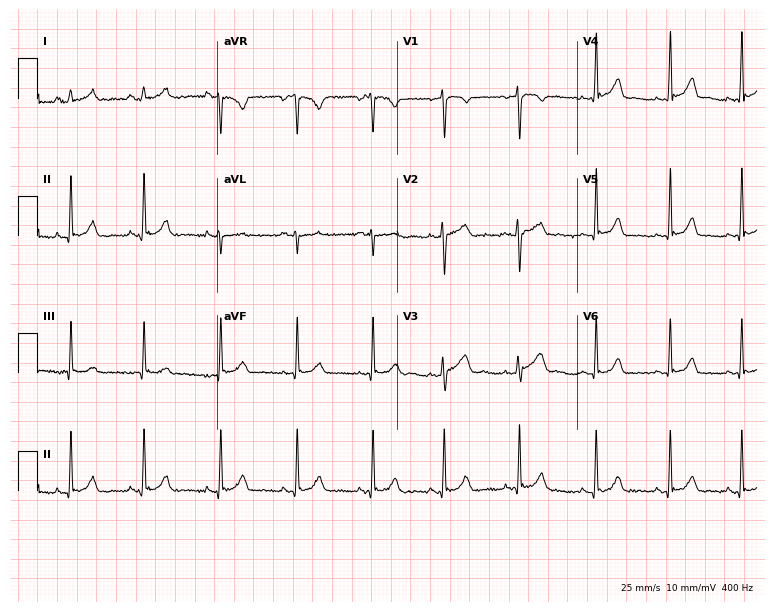
12-lead ECG (7.3-second recording at 400 Hz) from a 25-year-old female patient. Labelled as a normal ECG.